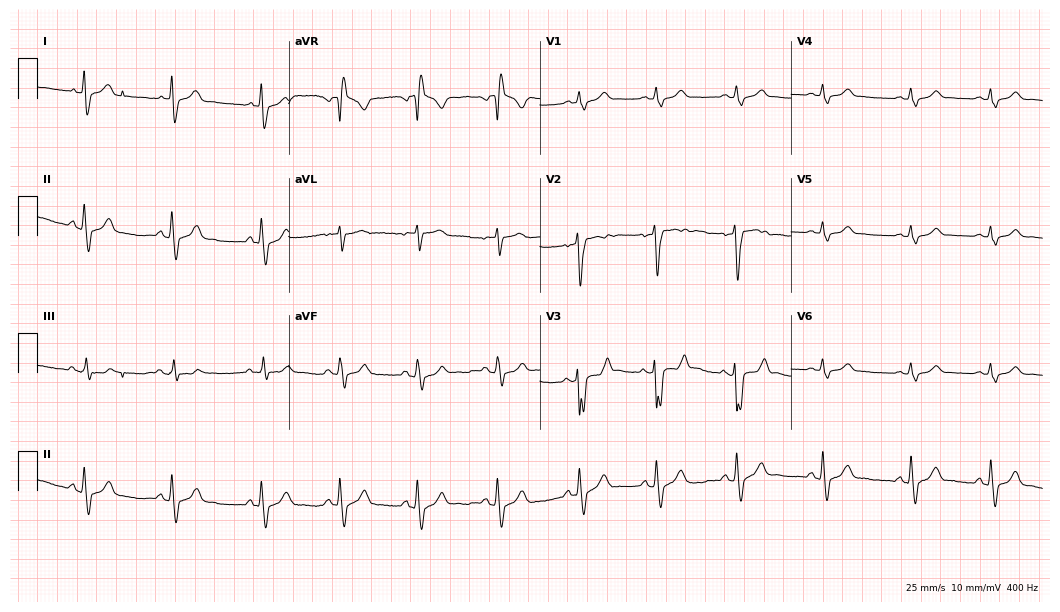
Electrocardiogram (10.2-second recording at 400 Hz), a man, 17 years old. Of the six screened findings (first-degree AV block, right bundle branch block, left bundle branch block, sinus bradycardia, atrial fibrillation, sinus tachycardia), none is recorded.